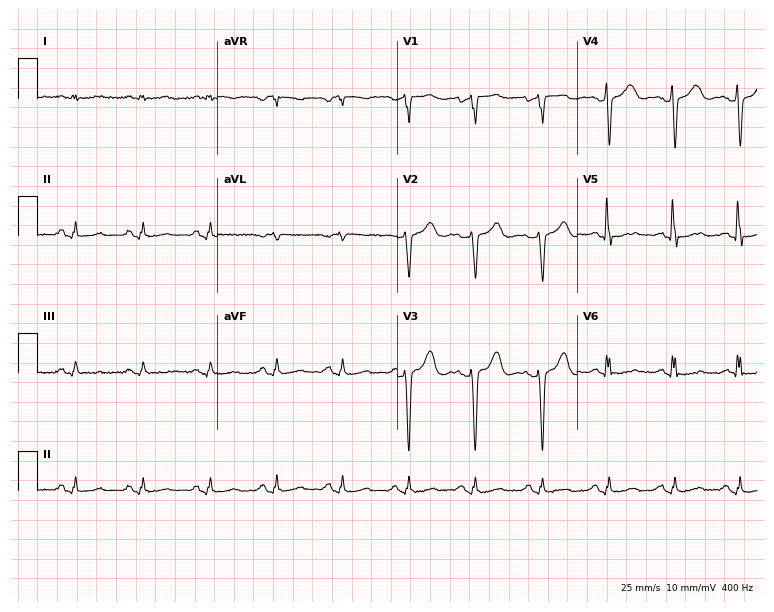
Electrocardiogram (7.3-second recording at 400 Hz), a 54-year-old male. Of the six screened findings (first-degree AV block, right bundle branch block (RBBB), left bundle branch block (LBBB), sinus bradycardia, atrial fibrillation (AF), sinus tachycardia), none is recorded. Only these six findings were labelled.